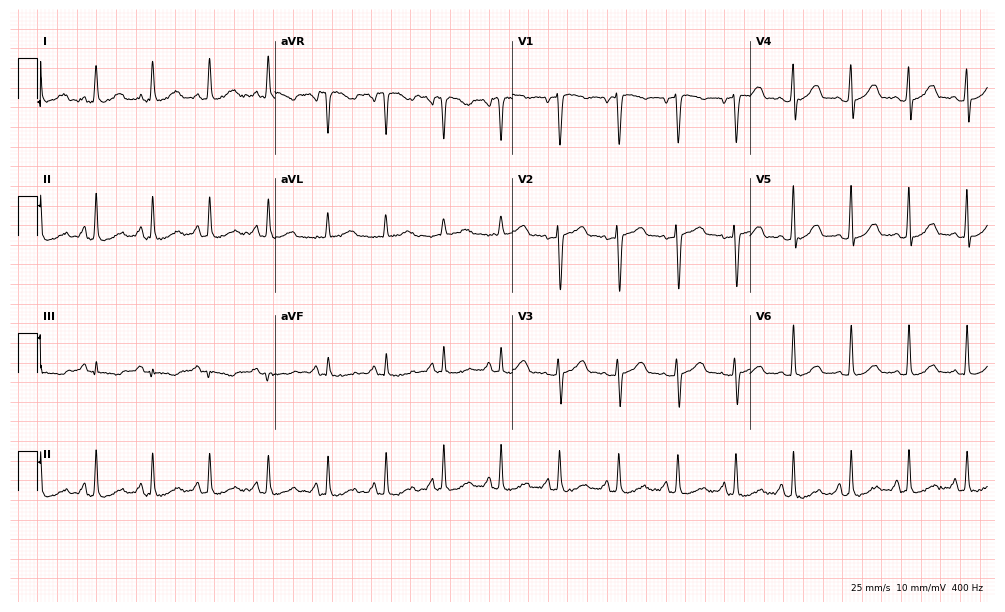
Standard 12-lead ECG recorded from a 52-year-old woman (9.7-second recording at 400 Hz). Read as a normal ECG.